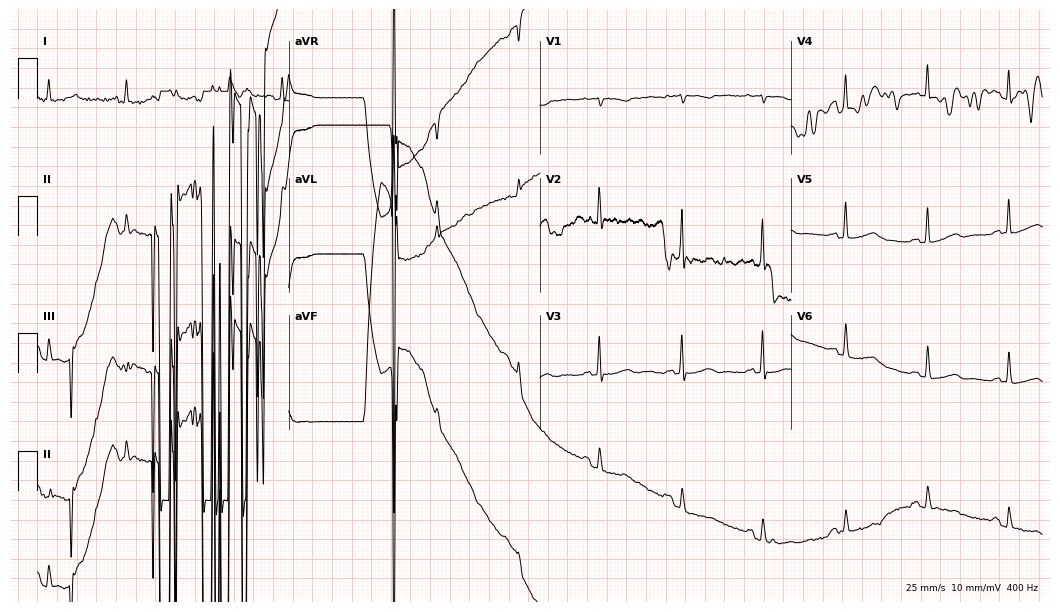
Electrocardiogram (10.2-second recording at 400 Hz), a female, 73 years old. Of the six screened findings (first-degree AV block, right bundle branch block (RBBB), left bundle branch block (LBBB), sinus bradycardia, atrial fibrillation (AF), sinus tachycardia), none is recorded.